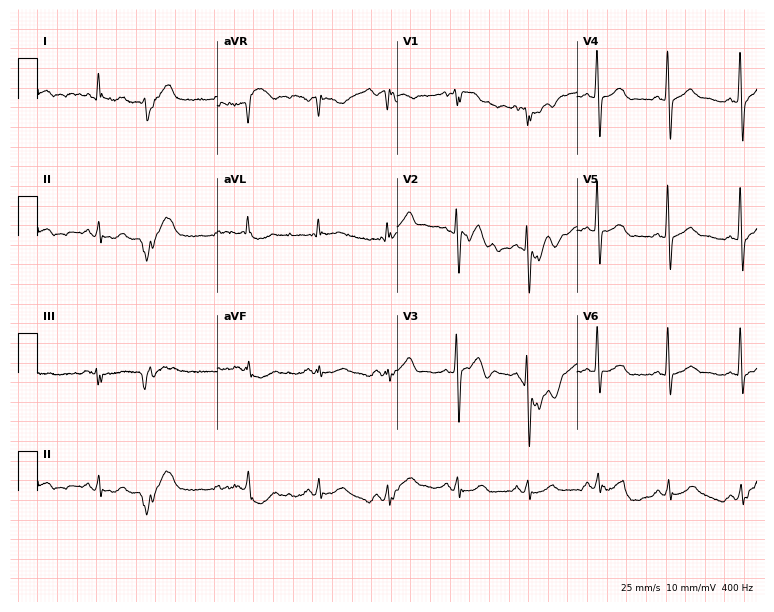
12-lead ECG from a male patient, 76 years old (7.3-second recording at 400 Hz). No first-degree AV block, right bundle branch block, left bundle branch block, sinus bradycardia, atrial fibrillation or sinus tachycardia recorded for this tracing. Only these six findings were labelled.